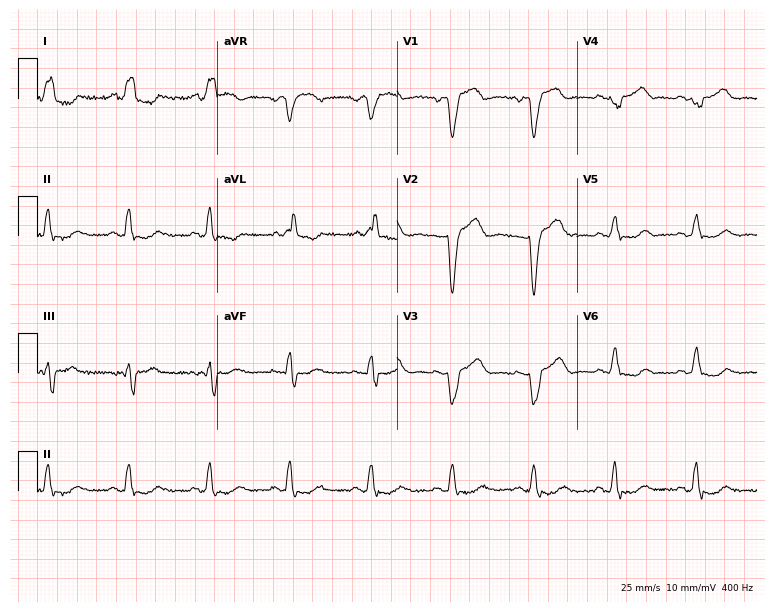
12-lead ECG from a 63-year-old female. Findings include left bundle branch block.